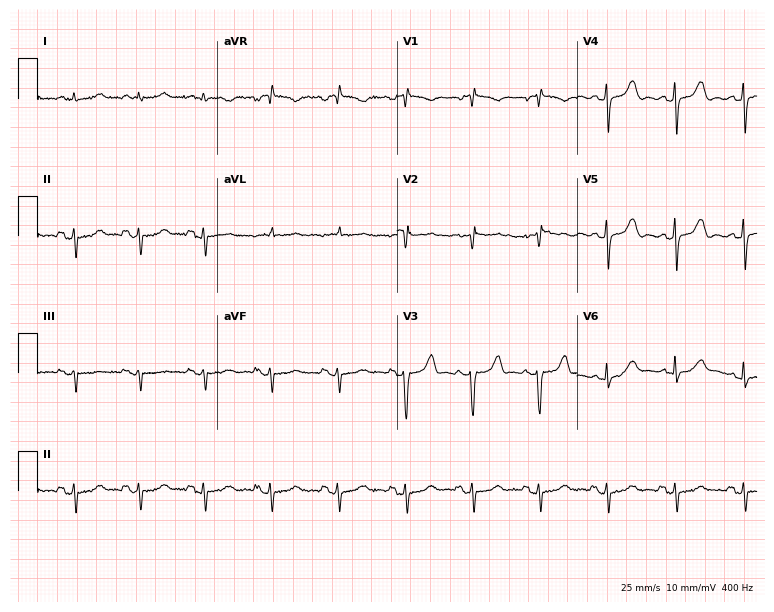
Standard 12-lead ECG recorded from a female patient, 73 years old. None of these six findings is recorded: first-degree AV block, right bundle branch block (RBBB), left bundle branch block (LBBB), sinus bradycardia, atrial fibrillation (AF), sinus tachycardia.